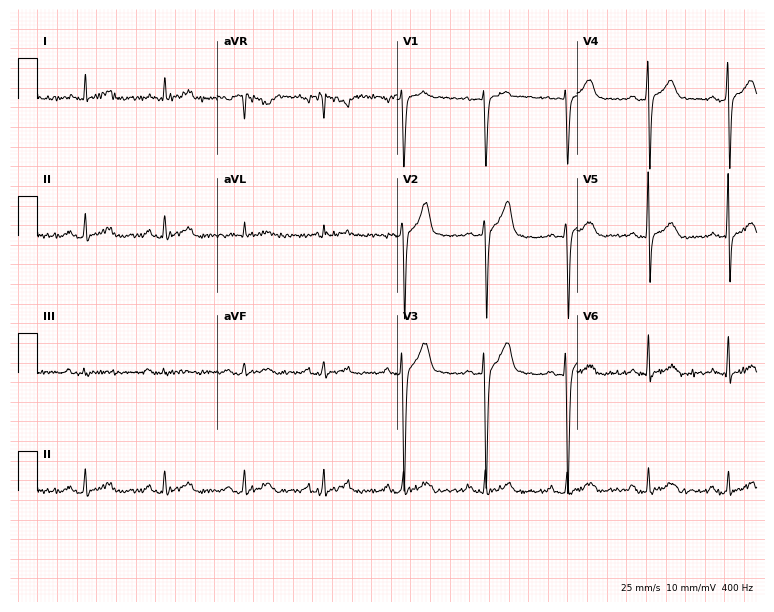
Standard 12-lead ECG recorded from a man, 47 years old (7.3-second recording at 400 Hz). Read as a normal ECG.